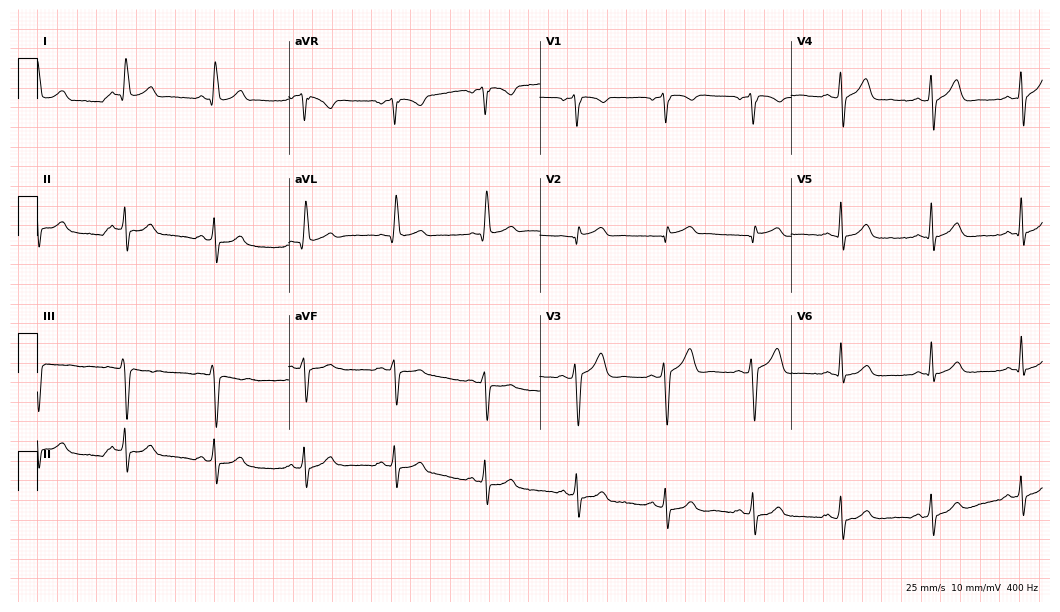
12-lead ECG from a man, 47 years old. No first-degree AV block, right bundle branch block, left bundle branch block, sinus bradycardia, atrial fibrillation or sinus tachycardia recorded for this tracing. Only these six findings were labelled.